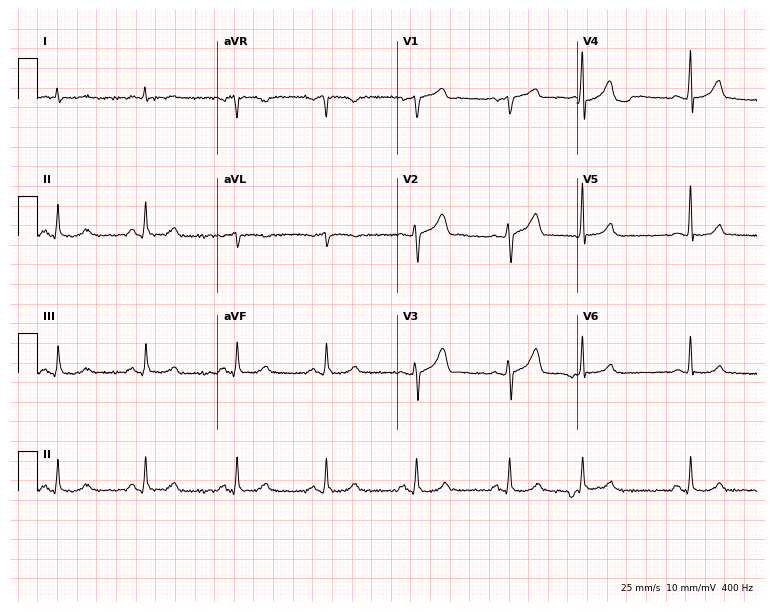
Standard 12-lead ECG recorded from a male, 55 years old (7.3-second recording at 400 Hz). None of these six findings is recorded: first-degree AV block, right bundle branch block, left bundle branch block, sinus bradycardia, atrial fibrillation, sinus tachycardia.